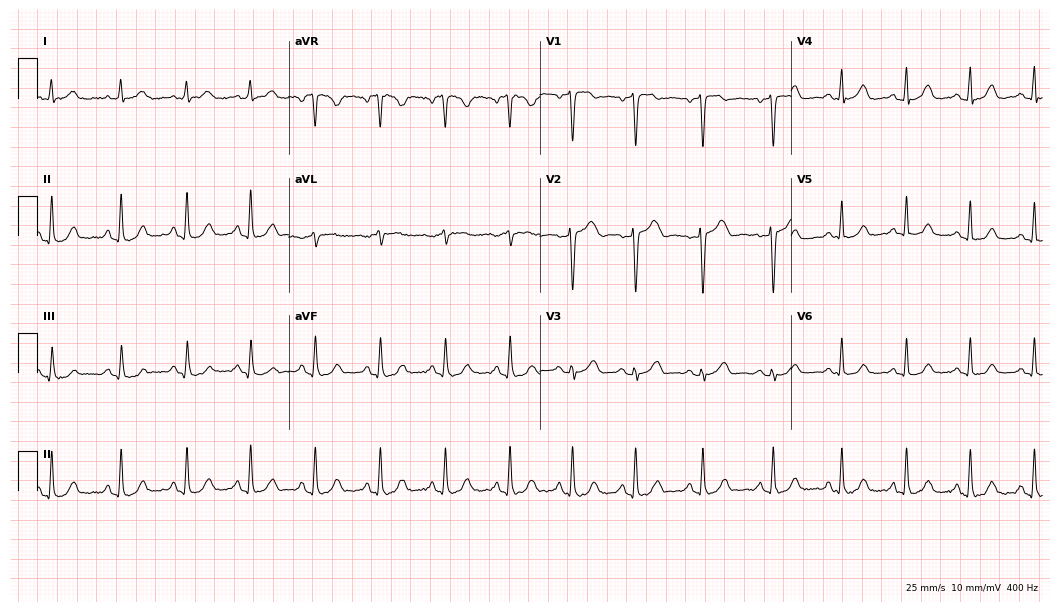
Resting 12-lead electrocardiogram. Patient: a 45-year-old female. Read as a normal ECG.